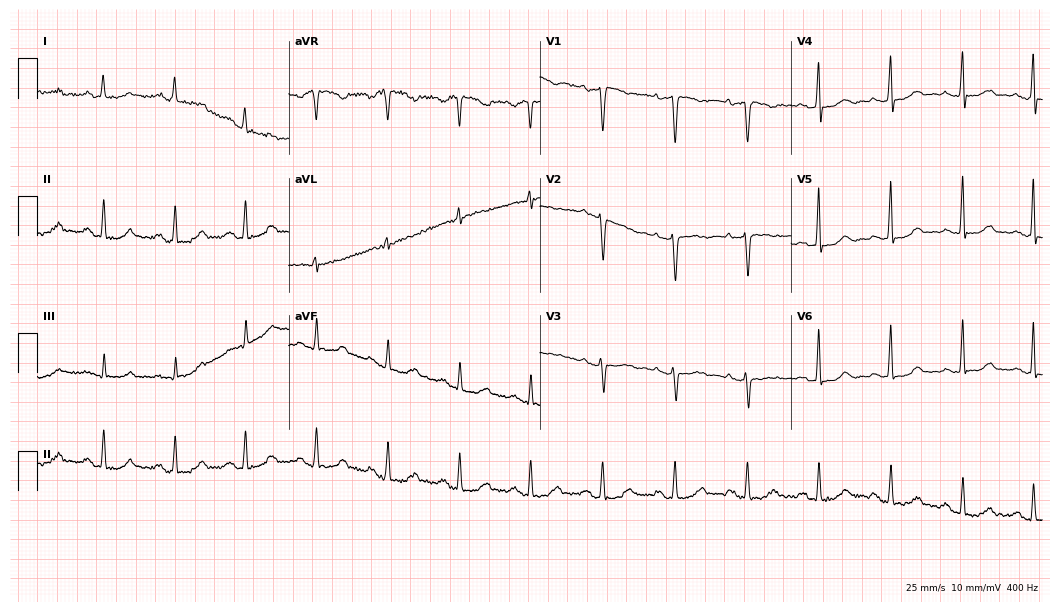
Standard 12-lead ECG recorded from a female patient, 55 years old (10.2-second recording at 400 Hz). None of these six findings is recorded: first-degree AV block, right bundle branch block, left bundle branch block, sinus bradycardia, atrial fibrillation, sinus tachycardia. Only these six findings were labelled.